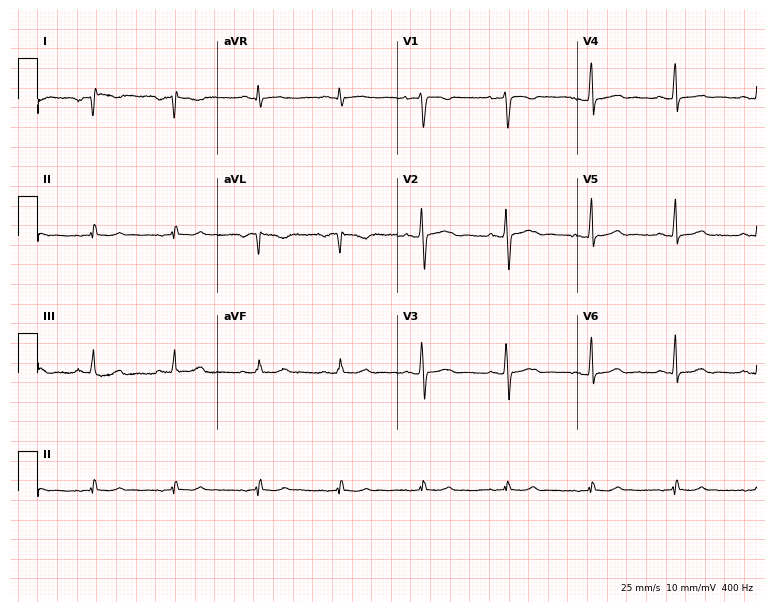
ECG (7.3-second recording at 400 Hz) — a woman, 43 years old. Screened for six findings — first-degree AV block, right bundle branch block, left bundle branch block, sinus bradycardia, atrial fibrillation, sinus tachycardia — none is recorded. Only these six findings were labelled.